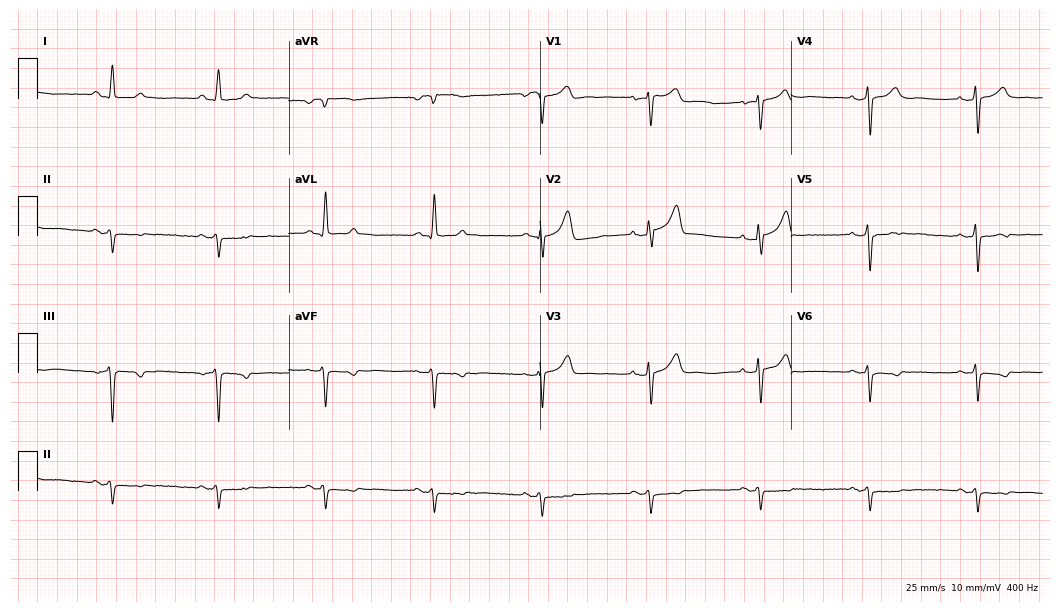
ECG (10.2-second recording at 400 Hz) — a male patient, 69 years old. Screened for six findings — first-degree AV block, right bundle branch block, left bundle branch block, sinus bradycardia, atrial fibrillation, sinus tachycardia — none is recorded.